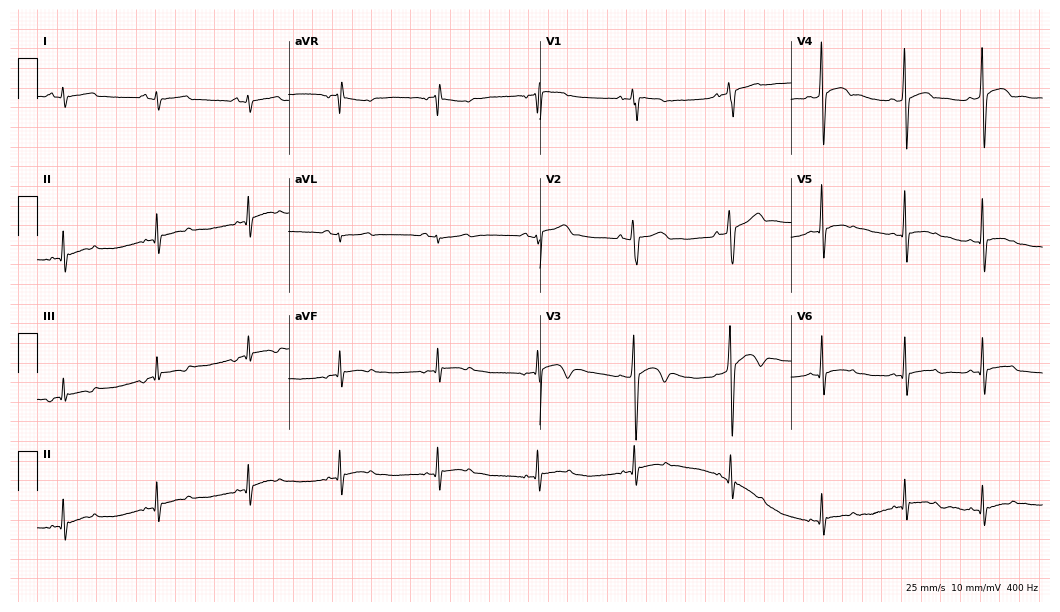
12-lead ECG from a 20-year-old man. Labelled as a normal ECG.